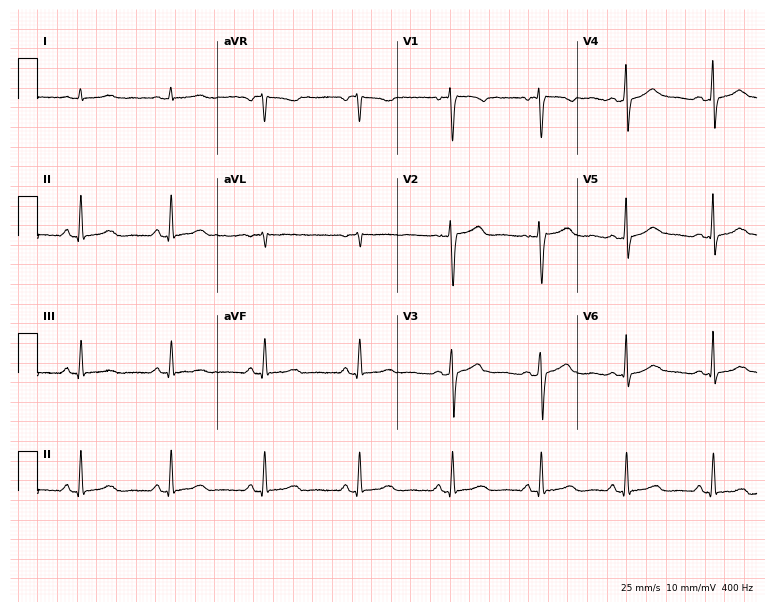
12-lead ECG from a 50-year-old female. No first-degree AV block, right bundle branch block (RBBB), left bundle branch block (LBBB), sinus bradycardia, atrial fibrillation (AF) or sinus tachycardia recorded for this tracing. Only these six findings were labelled.